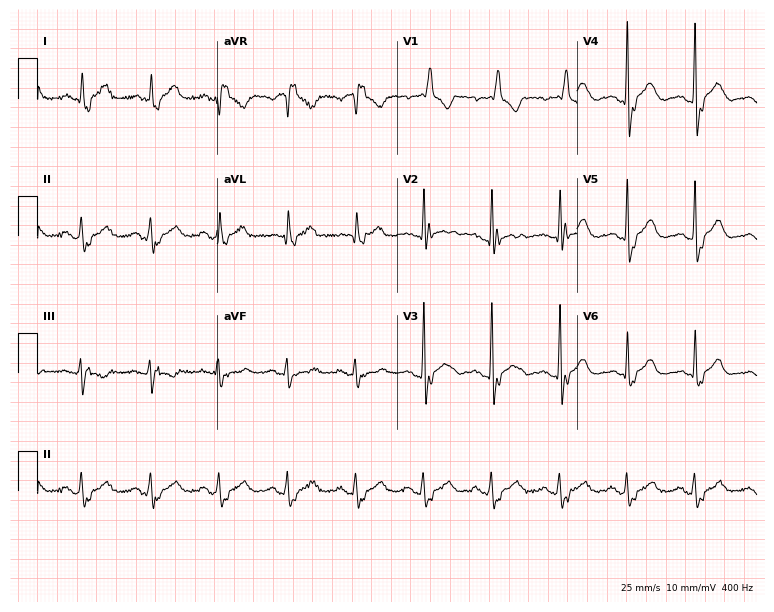
ECG (7.3-second recording at 400 Hz) — a 69-year-old male patient. Findings include right bundle branch block.